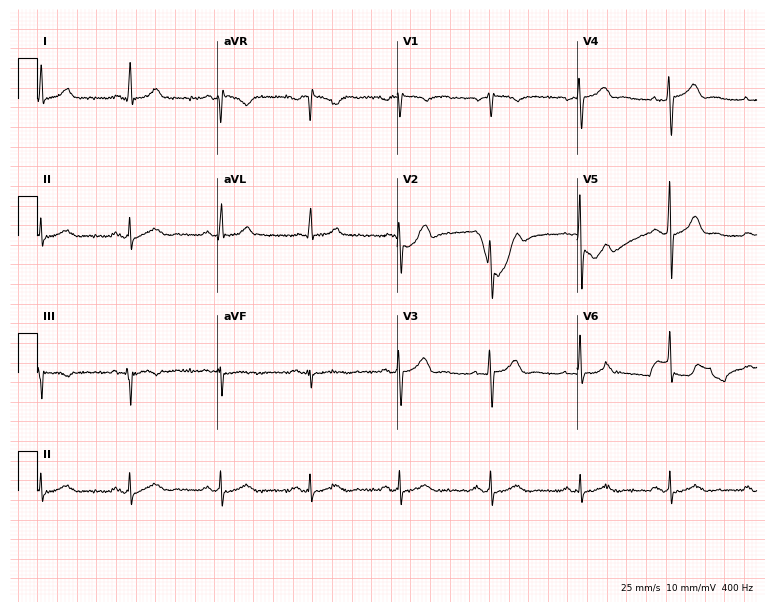
12-lead ECG (7.3-second recording at 400 Hz) from a 58-year-old male patient. Screened for six findings — first-degree AV block, right bundle branch block, left bundle branch block, sinus bradycardia, atrial fibrillation, sinus tachycardia — none is recorded.